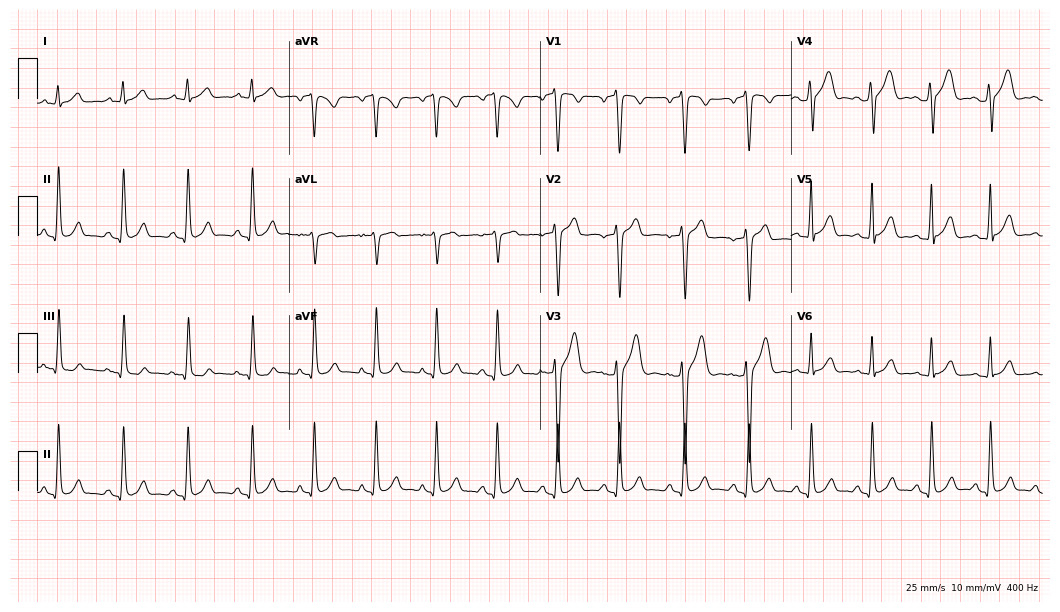
12-lead ECG from a 27-year-old male patient (10.2-second recording at 400 Hz). Recorded interpretation: within normal limits.